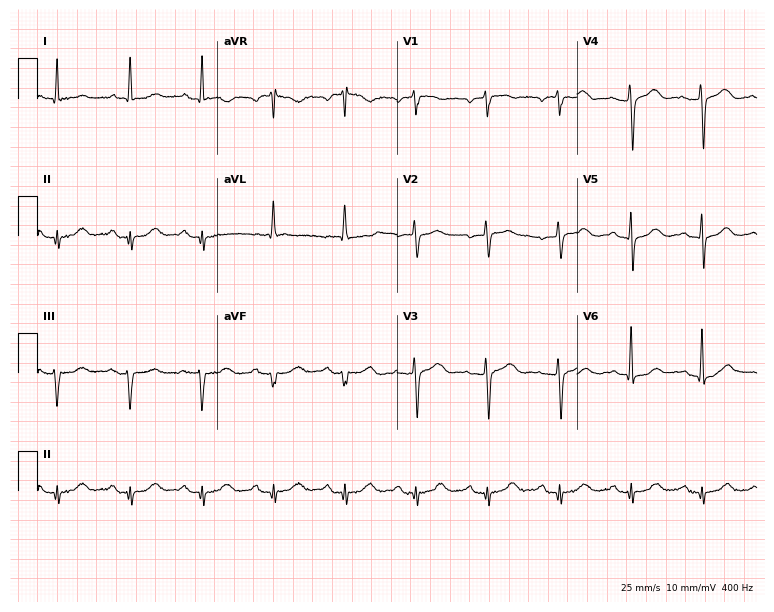
Resting 12-lead electrocardiogram (7.3-second recording at 400 Hz). Patient: a 77-year-old female. None of these six findings is recorded: first-degree AV block, right bundle branch block, left bundle branch block, sinus bradycardia, atrial fibrillation, sinus tachycardia.